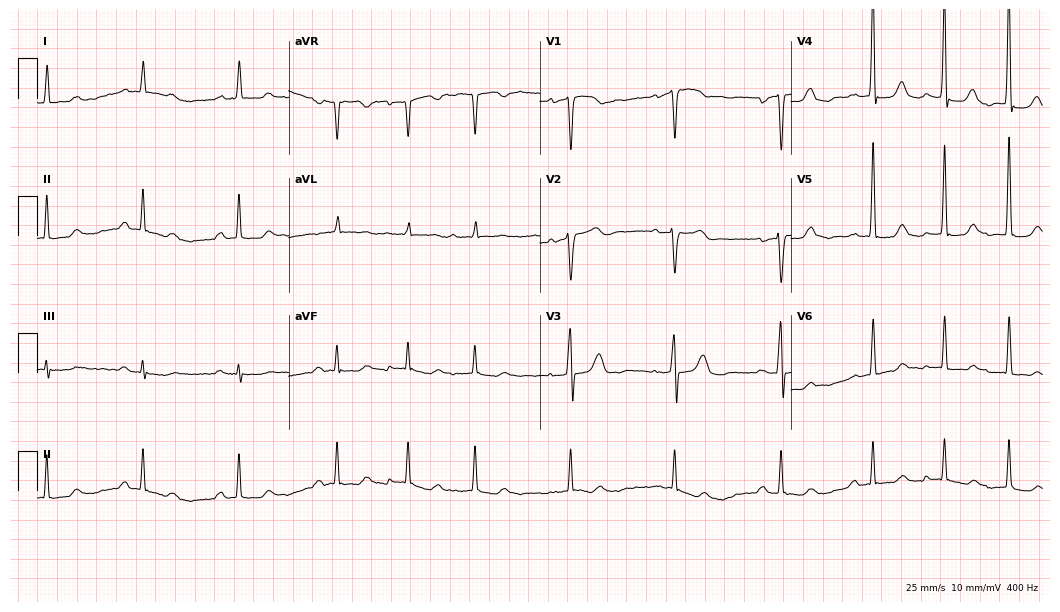
Electrocardiogram, a 69-year-old man. Of the six screened findings (first-degree AV block, right bundle branch block, left bundle branch block, sinus bradycardia, atrial fibrillation, sinus tachycardia), none is recorded.